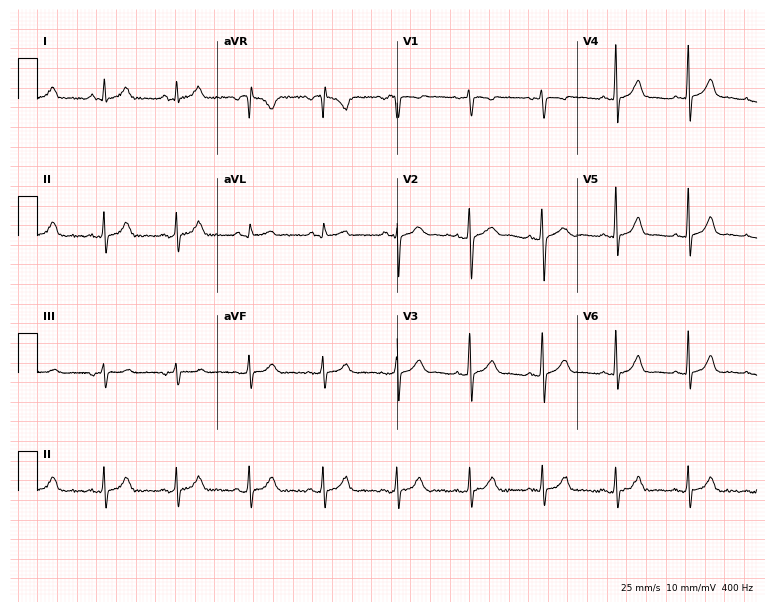
Electrocardiogram, a female patient, 28 years old. Overall reading on record: normal ECG.